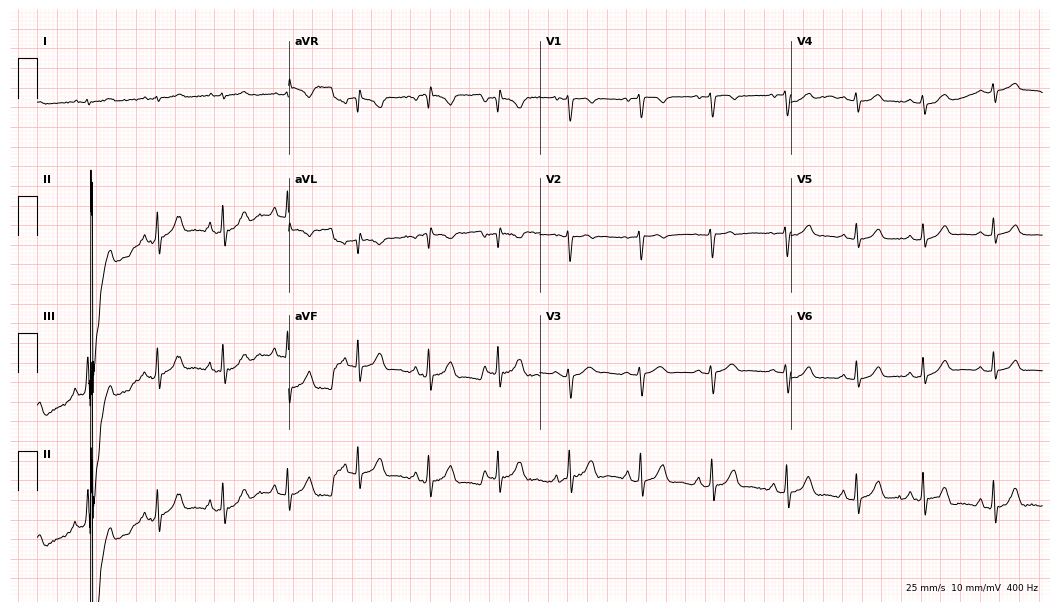
12-lead ECG from an 18-year-old male patient. No first-degree AV block, right bundle branch block, left bundle branch block, sinus bradycardia, atrial fibrillation or sinus tachycardia recorded for this tracing. Findings outside these six are not listed.